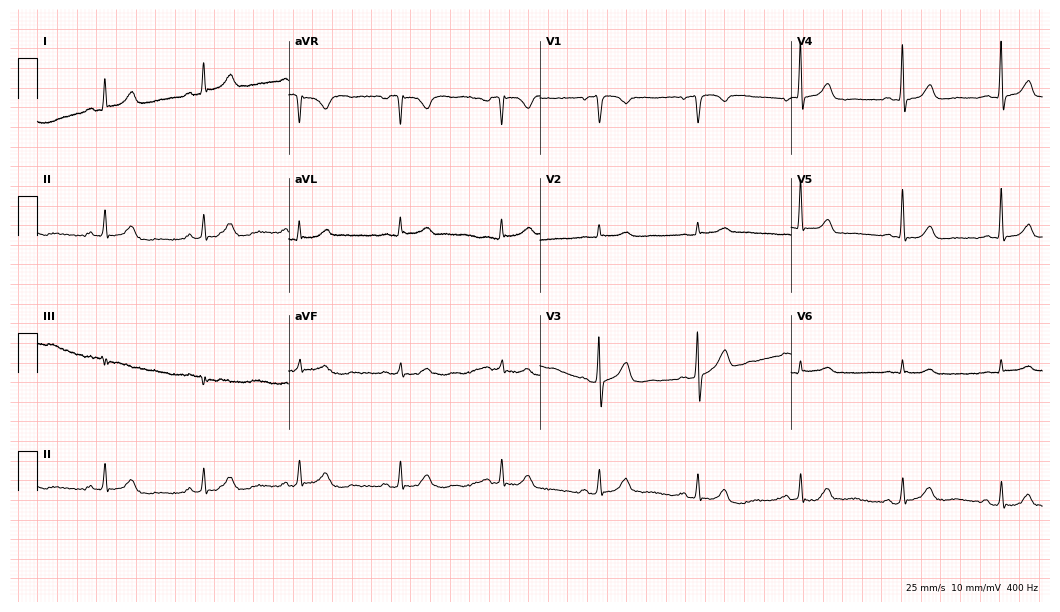
12-lead ECG from a 19-year-old woman (10.2-second recording at 400 Hz). Recorded interpretation: within normal limits.